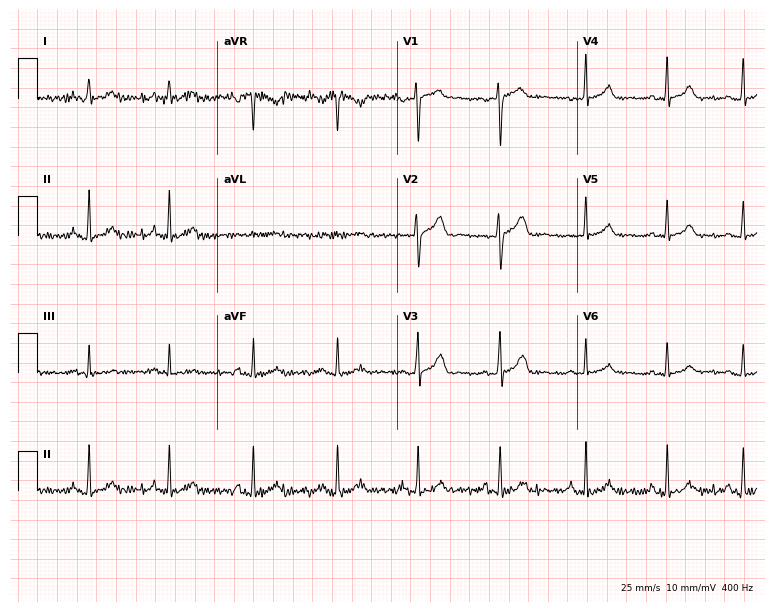
Resting 12-lead electrocardiogram. Patient: a 26-year-old female. None of these six findings is recorded: first-degree AV block, right bundle branch block (RBBB), left bundle branch block (LBBB), sinus bradycardia, atrial fibrillation (AF), sinus tachycardia.